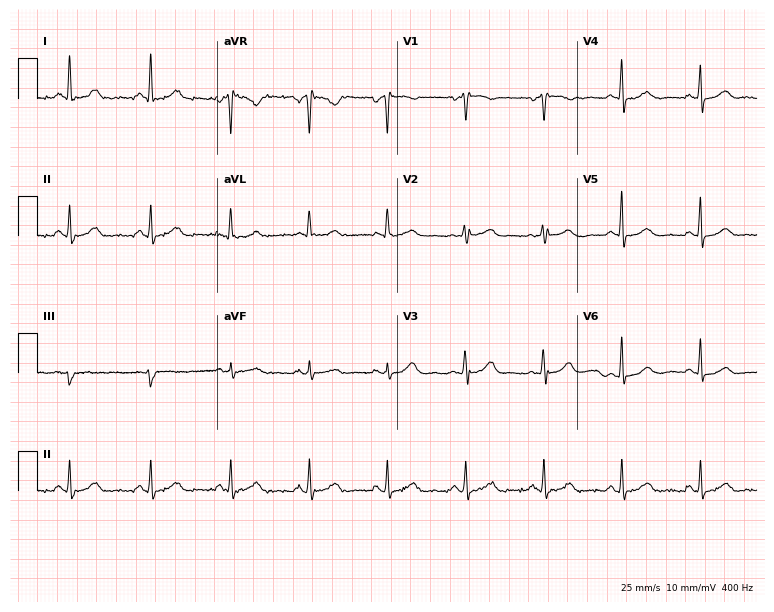
Standard 12-lead ECG recorded from a 56-year-old female (7.3-second recording at 400 Hz). Read as a normal ECG.